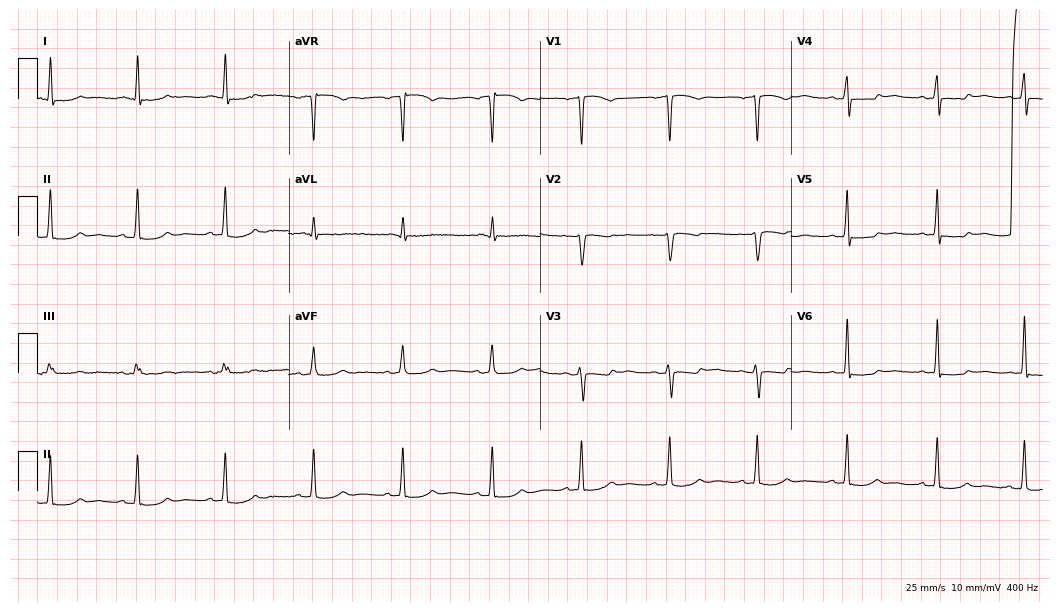
12-lead ECG from a woman, 60 years old. No first-degree AV block, right bundle branch block, left bundle branch block, sinus bradycardia, atrial fibrillation or sinus tachycardia recorded for this tracing.